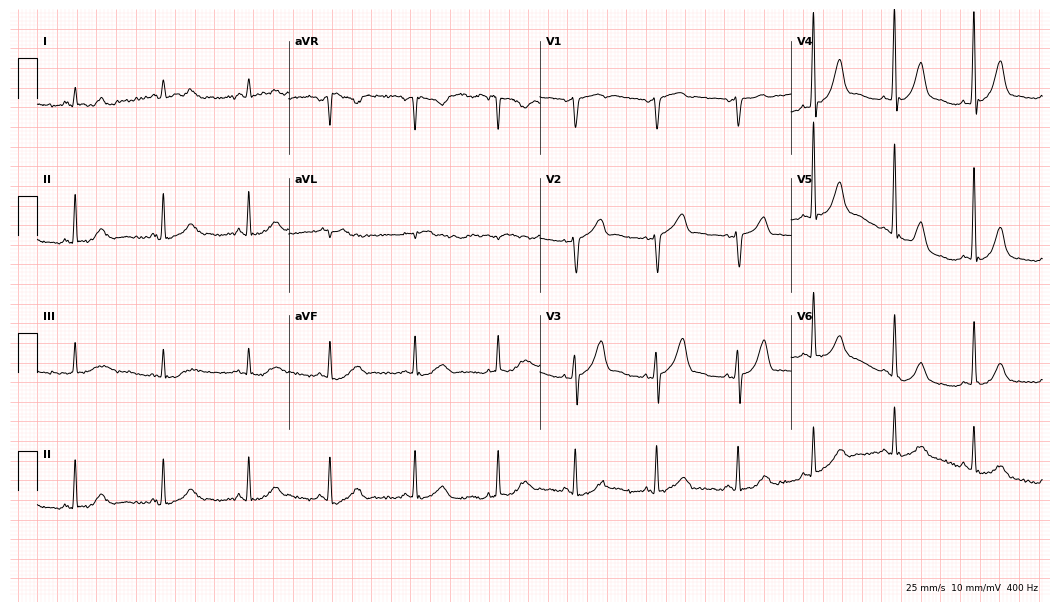
Electrocardiogram, a 69-year-old man. Overall reading on record: normal ECG.